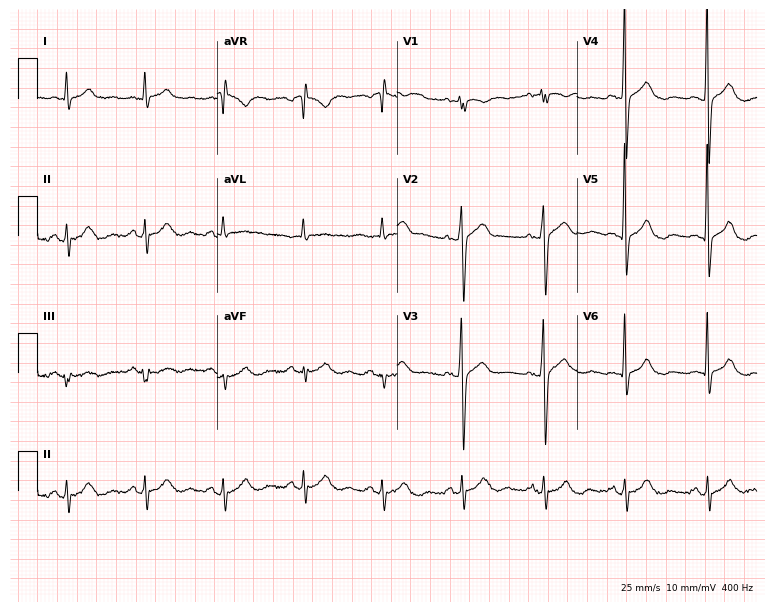
ECG — a man, 67 years old. Screened for six findings — first-degree AV block, right bundle branch block (RBBB), left bundle branch block (LBBB), sinus bradycardia, atrial fibrillation (AF), sinus tachycardia — none is recorded.